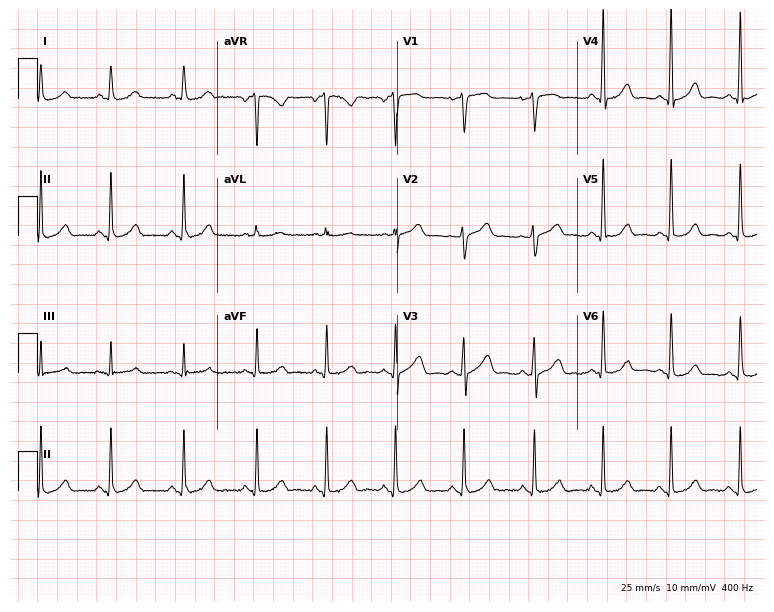
12-lead ECG (7.3-second recording at 400 Hz) from a 49-year-old female patient. Screened for six findings — first-degree AV block, right bundle branch block, left bundle branch block, sinus bradycardia, atrial fibrillation, sinus tachycardia — none is recorded. Findings outside these six are not listed.